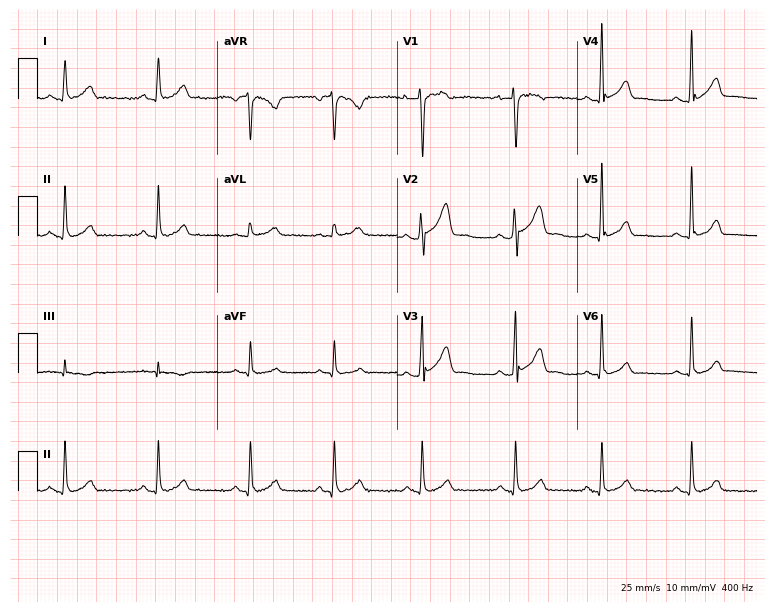
Resting 12-lead electrocardiogram (7.3-second recording at 400 Hz). Patient: a 22-year-old male. None of these six findings is recorded: first-degree AV block, right bundle branch block, left bundle branch block, sinus bradycardia, atrial fibrillation, sinus tachycardia. Other findings, if any, are not listed.